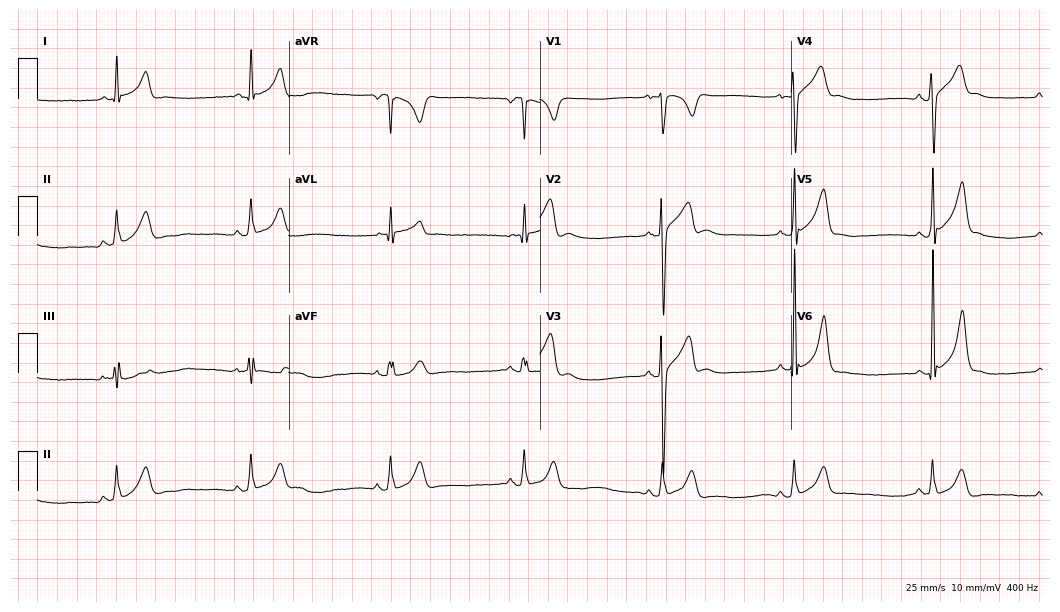
12-lead ECG from a 32-year-old male patient. Screened for six findings — first-degree AV block, right bundle branch block (RBBB), left bundle branch block (LBBB), sinus bradycardia, atrial fibrillation (AF), sinus tachycardia — none is recorded. Other findings, if any, are not listed.